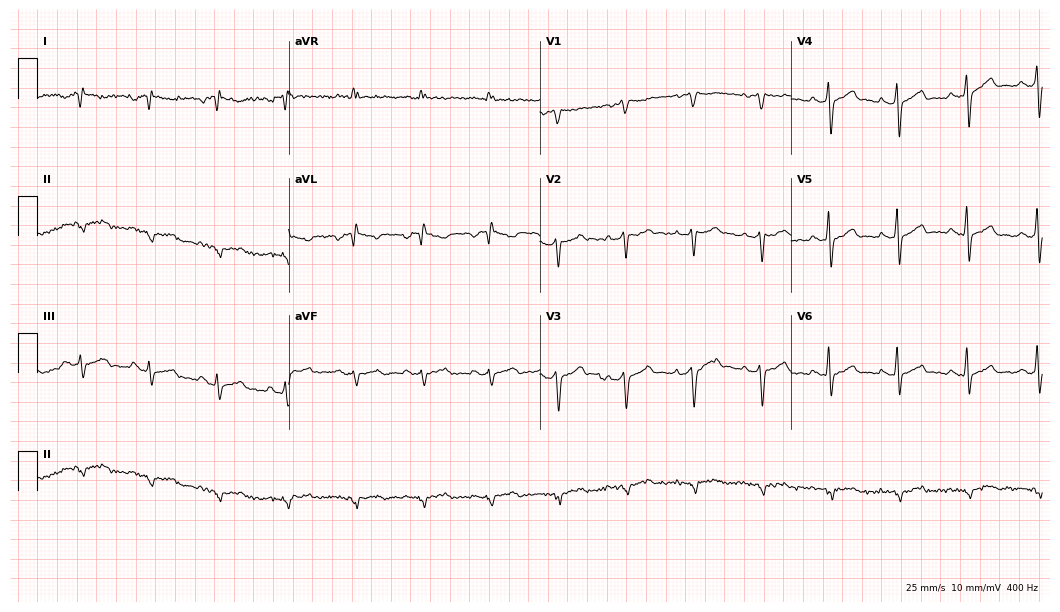
Resting 12-lead electrocardiogram (10.2-second recording at 400 Hz). Patient: a 38-year-old male. None of these six findings is recorded: first-degree AV block, right bundle branch block, left bundle branch block, sinus bradycardia, atrial fibrillation, sinus tachycardia. Other findings, if any, are not listed.